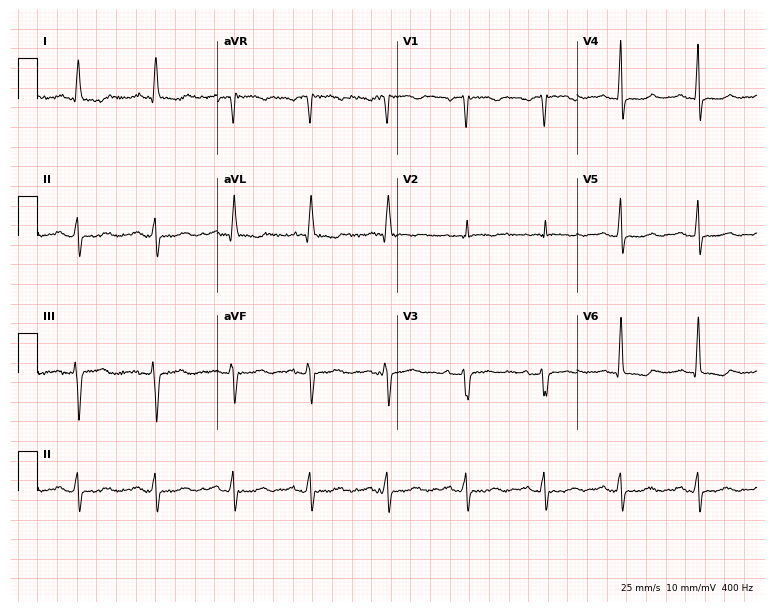
12-lead ECG from an 84-year-old female. No first-degree AV block, right bundle branch block (RBBB), left bundle branch block (LBBB), sinus bradycardia, atrial fibrillation (AF) or sinus tachycardia recorded for this tracing. Only these six findings were labelled.